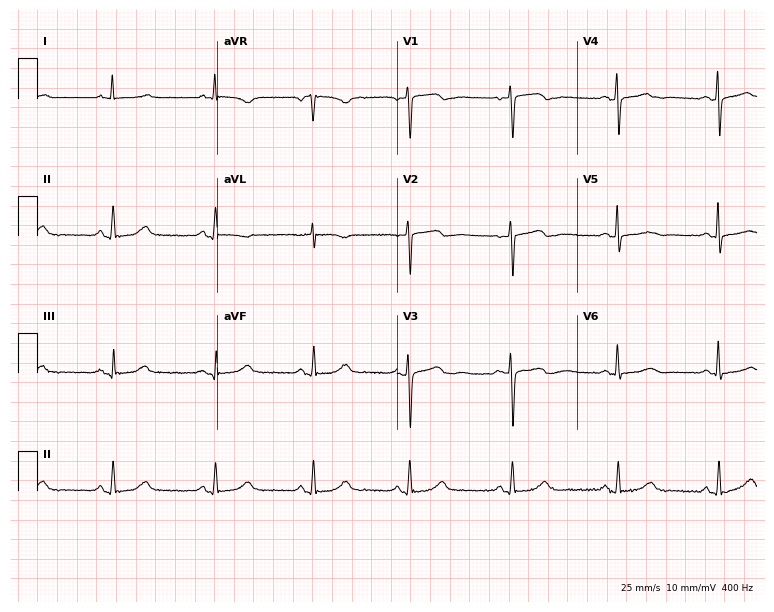
Standard 12-lead ECG recorded from a female patient, 56 years old (7.3-second recording at 400 Hz). Read as a normal ECG.